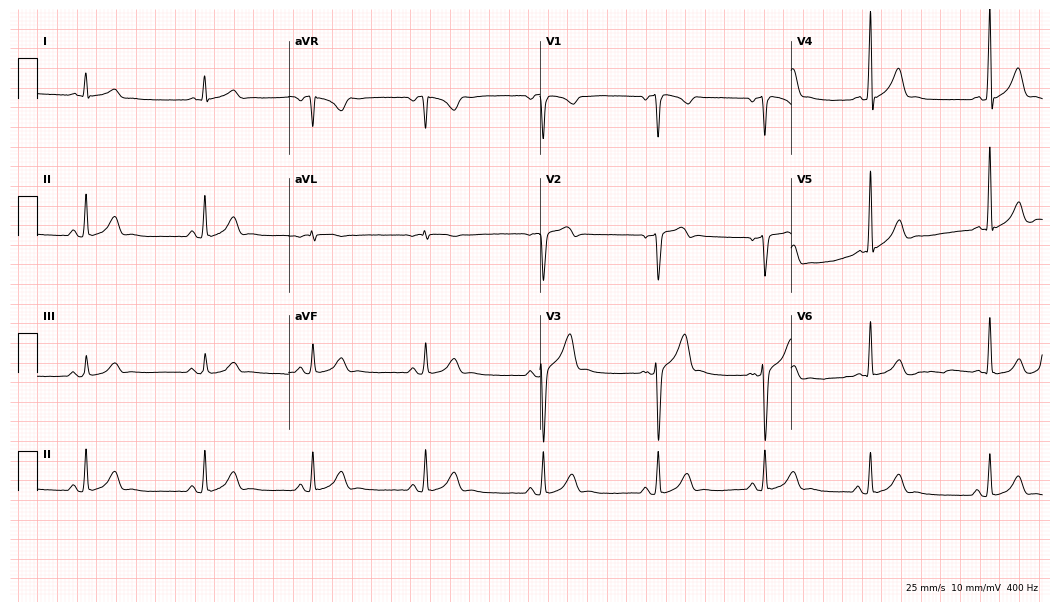
12-lead ECG (10.2-second recording at 400 Hz) from a 43-year-old male patient. Labelled as a normal ECG.